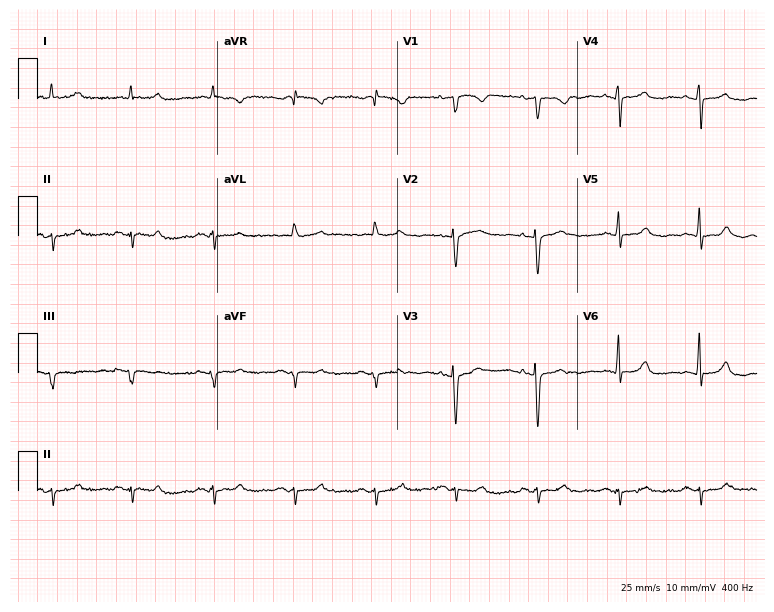
Electrocardiogram (7.3-second recording at 400 Hz), a 76-year-old woman. Of the six screened findings (first-degree AV block, right bundle branch block (RBBB), left bundle branch block (LBBB), sinus bradycardia, atrial fibrillation (AF), sinus tachycardia), none is recorded. Findings outside these six are not listed.